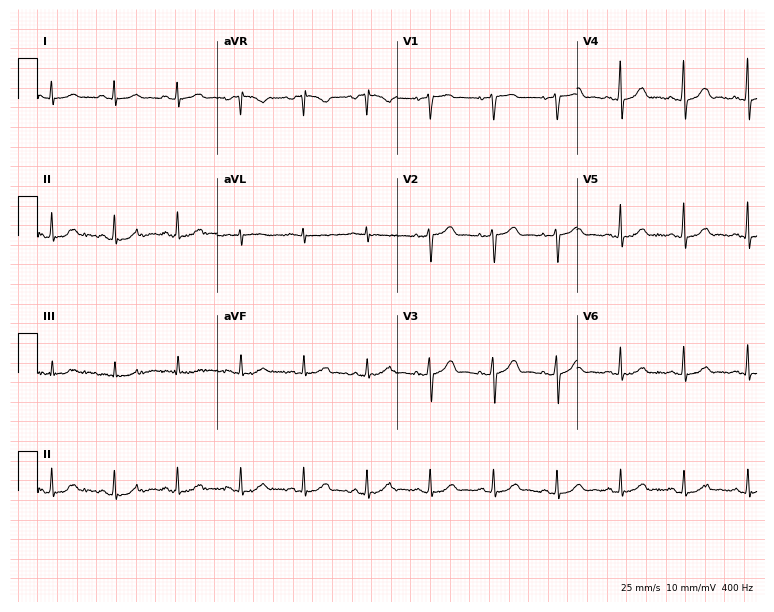
12-lead ECG from a 60-year-old female. Screened for six findings — first-degree AV block, right bundle branch block, left bundle branch block, sinus bradycardia, atrial fibrillation, sinus tachycardia — none is recorded.